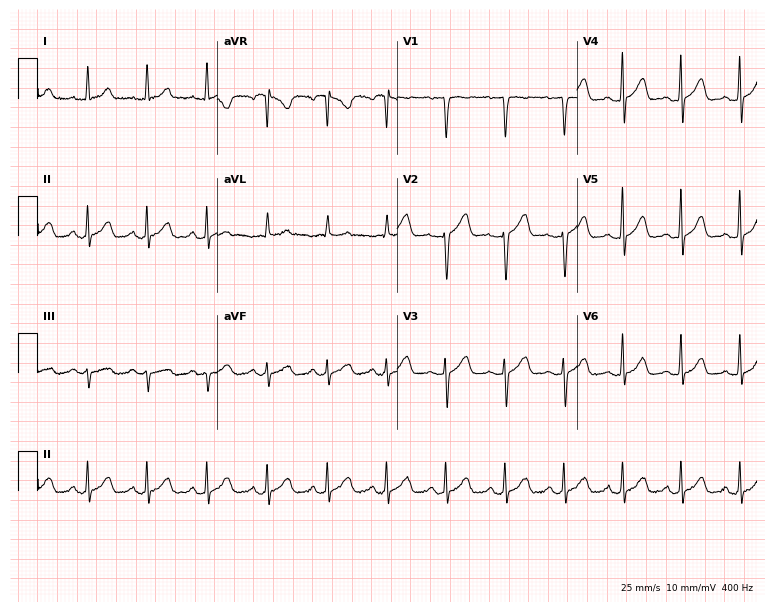
12-lead ECG from a 35-year-old woman (7.3-second recording at 400 Hz). Recorded interpretation: within normal limits.